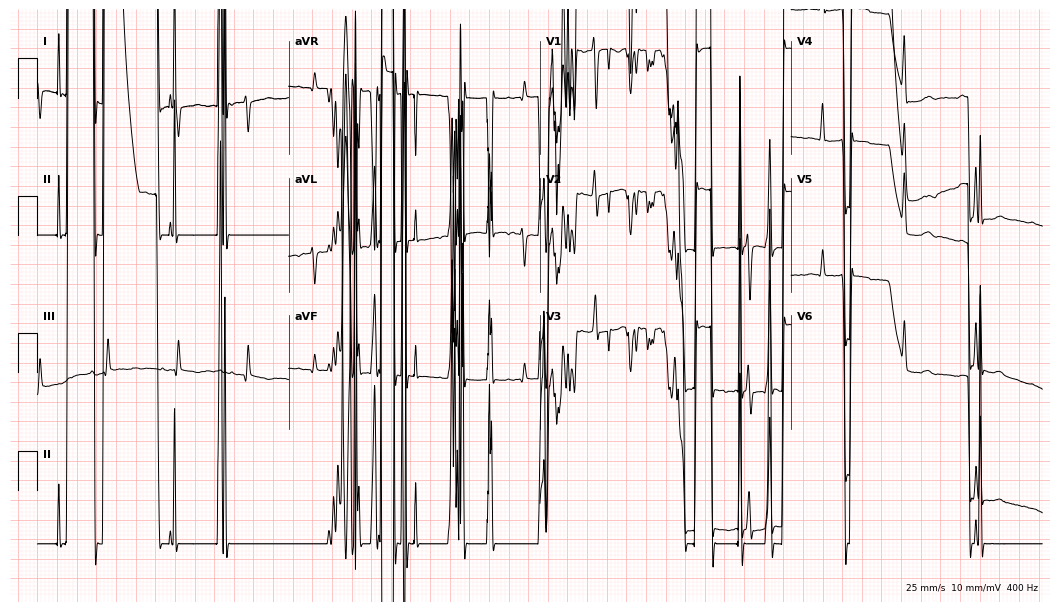
12-lead ECG from a female, 18 years old (10.2-second recording at 400 Hz). No first-degree AV block, right bundle branch block, left bundle branch block, sinus bradycardia, atrial fibrillation or sinus tachycardia recorded for this tracing. Only these six findings were labelled.